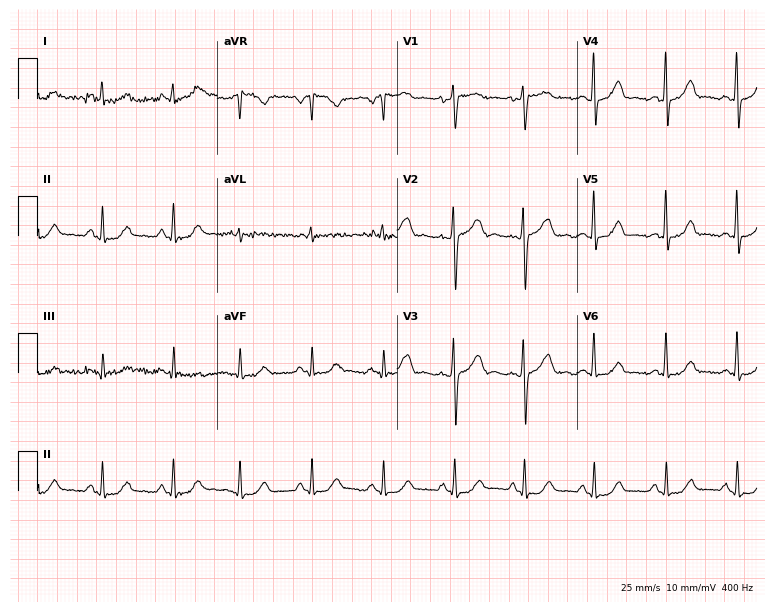
12-lead ECG (7.3-second recording at 400 Hz) from a 64-year-old man. Labelled as a normal ECG.